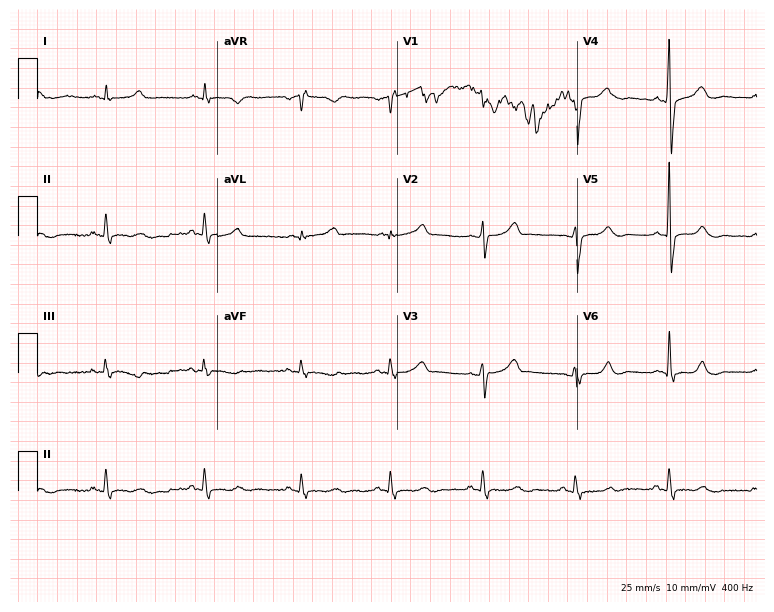
Electrocardiogram (7.3-second recording at 400 Hz), a male patient, 39 years old. Of the six screened findings (first-degree AV block, right bundle branch block, left bundle branch block, sinus bradycardia, atrial fibrillation, sinus tachycardia), none is recorded.